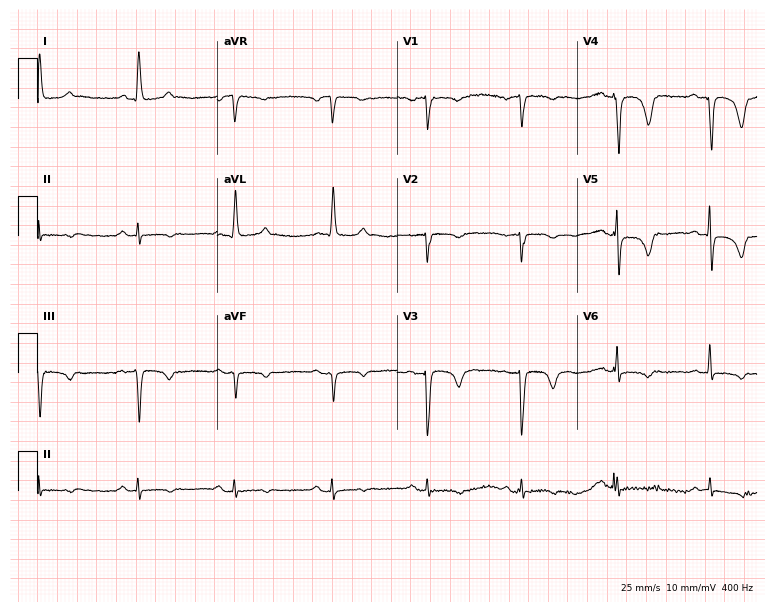
ECG — a female patient, 70 years old. Screened for six findings — first-degree AV block, right bundle branch block, left bundle branch block, sinus bradycardia, atrial fibrillation, sinus tachycardia — none is recorded. Other findings, if any, are not listed.